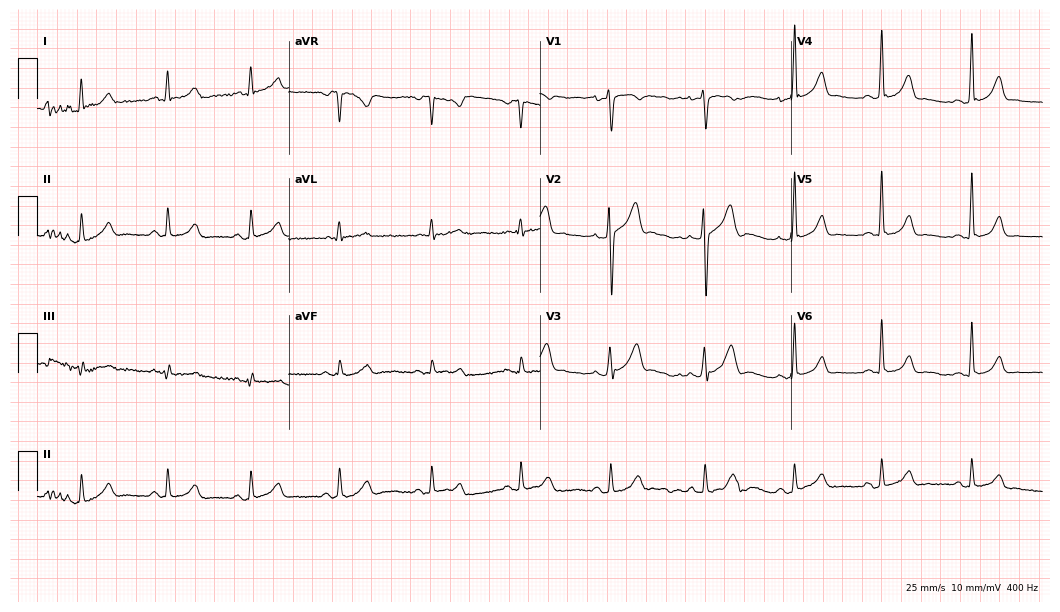
12-lead ECG (10.2-second recording at 400 Hz) from a 39-year-old man. Labelled as a normal ECG.